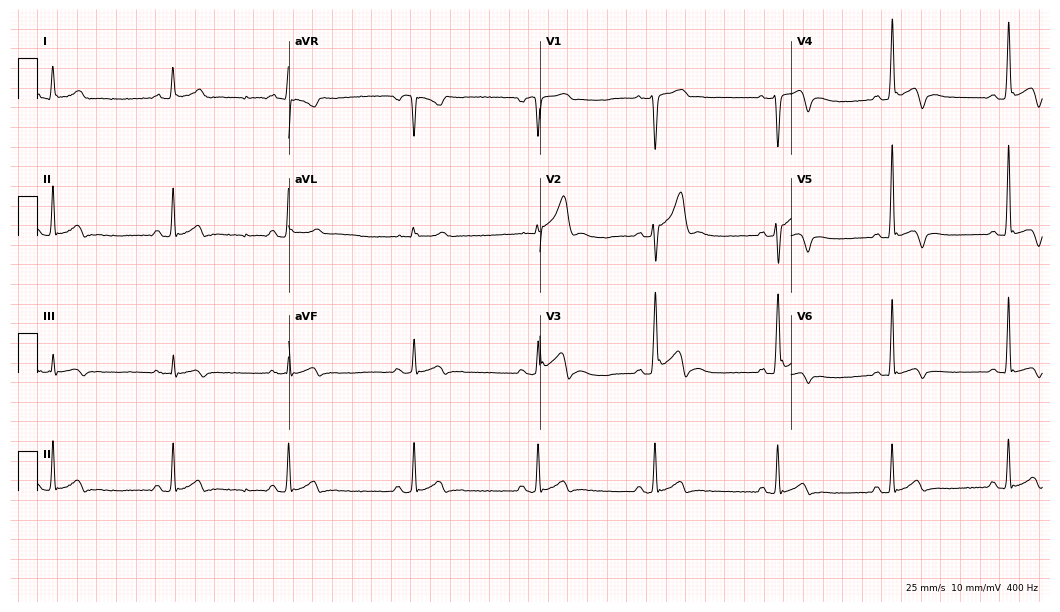
Standard 12-lead ECG recorded from a 26-year-old male patient (10.2-second recording at 400 Hz). The tracing shows sinus bradycardia (a sinus rate of 50 beats per minute or less).